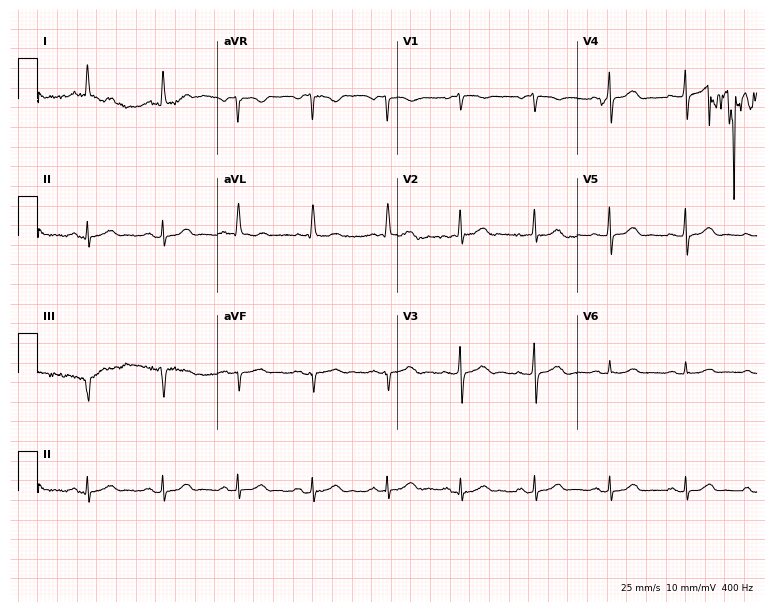
12-lead ECG from a female, 75 years old. Recorded interpretation: within normal limits.